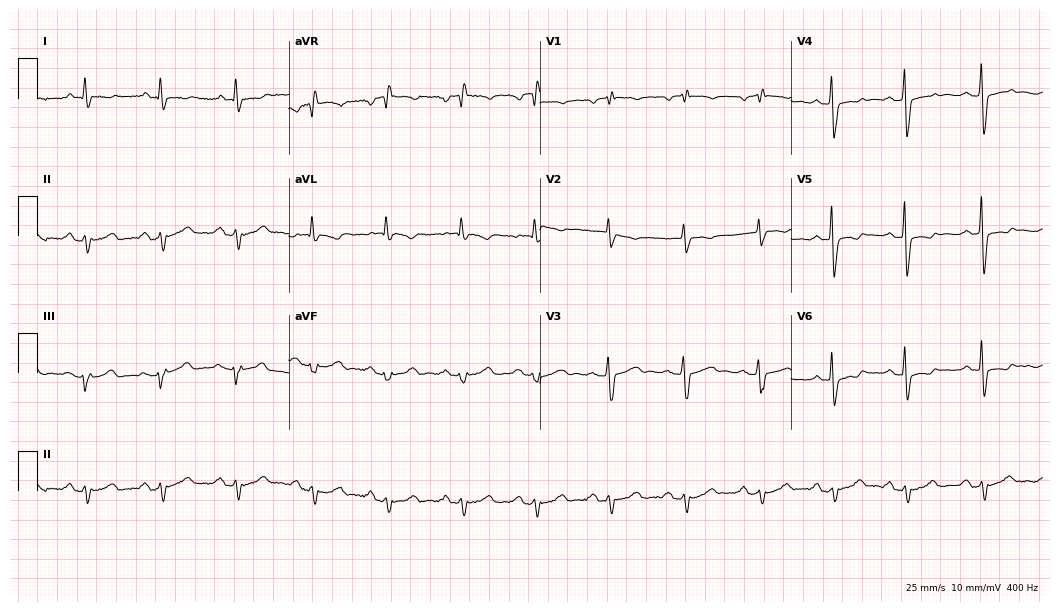
12-lead ECG (10.2-second recording at 400 Hz) from a female patient, 78 years old. Screened for six findings — first-degree AV block, right bundle branch block, left bundle branch block, sinus bradycardia, atrial fibrillation, sinus tachycardia — none is recorded. Other findings, if any, are not listed.